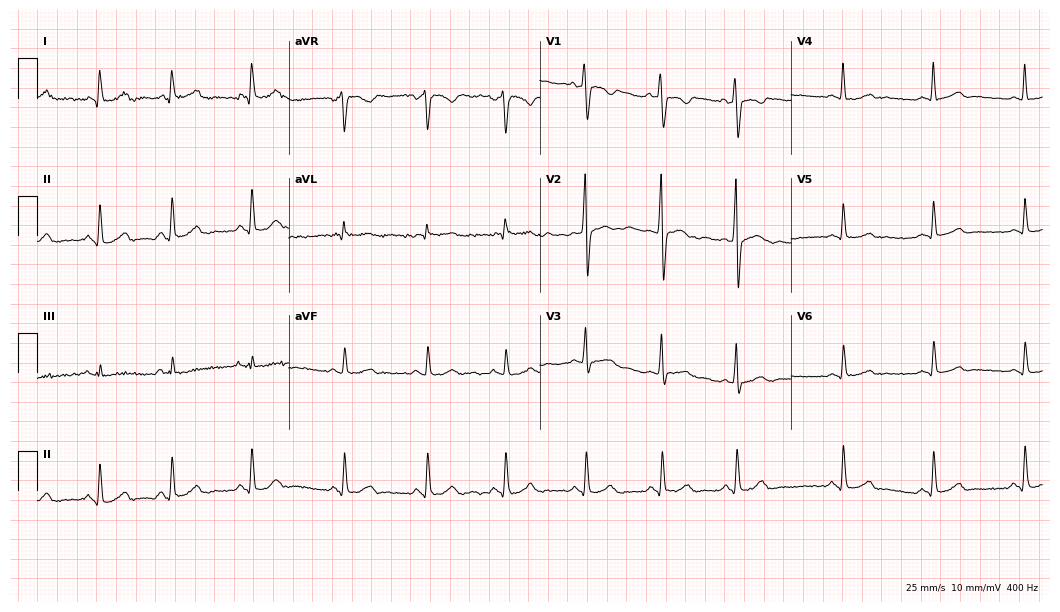
Resting 12-lead electrocardiogram (10.2-second recording at 400 Hz). Patient: a 27-year-old female. Read as a normal ECG.